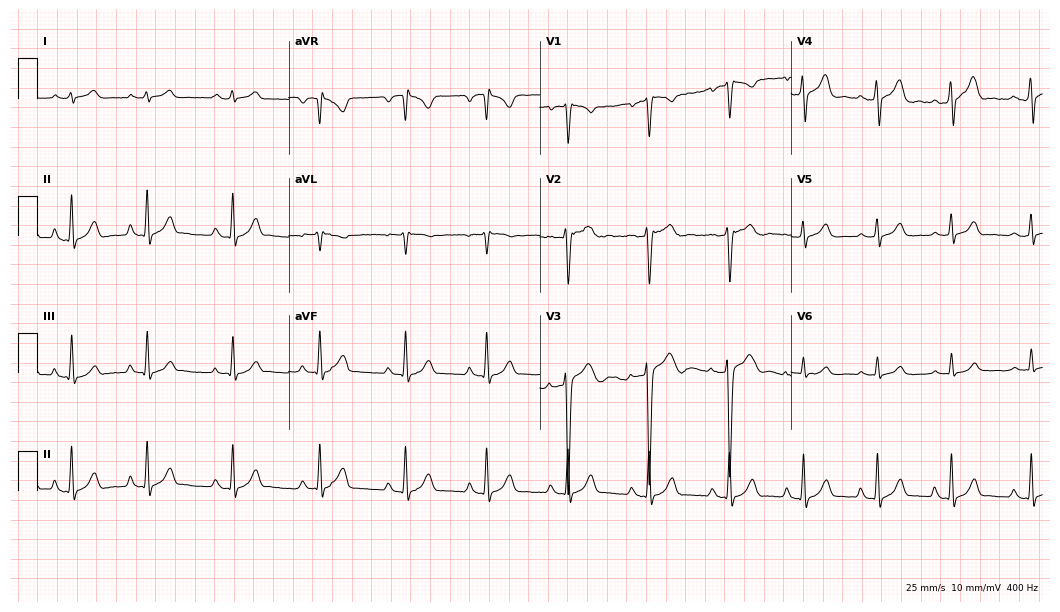
Resting 12-lead electrocardiogram (10.2-second recording at 400 Hz). Patient: a man, 20 years old. Read as a normal ECG.